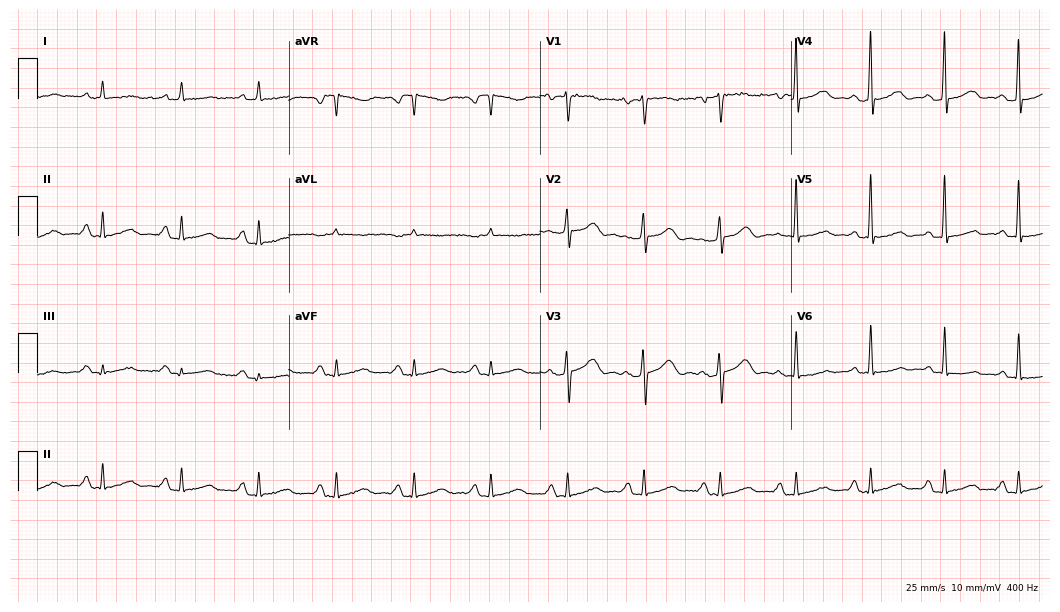
12-lead ECG (10.2-second recording at 400 Hz) from a 60-year-old female. Screened for six findings — first-degree AV block, right bundle branch block, left bundle branch block, sinus bradycardia, atrial fibrillation, sinus tachycardia — none is recorded. Other findings, if any, are not listed.